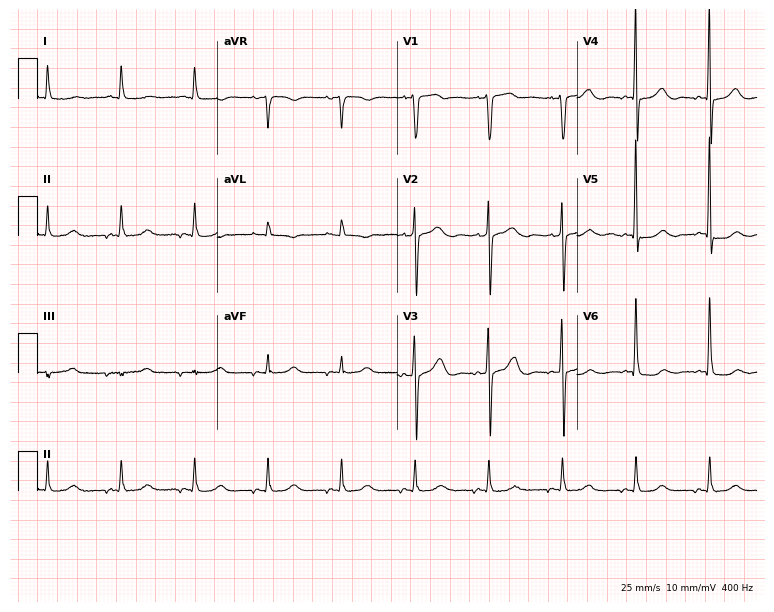
ECG (7.3-second recording at 400 Hz) — a 77-year-old male patient. Screened for six findings — first-degree AV block, right bundle branch block, left bundle branch block, sinus bradycardia, atrial fibrillation, sinus tachycardia — none is recorded.